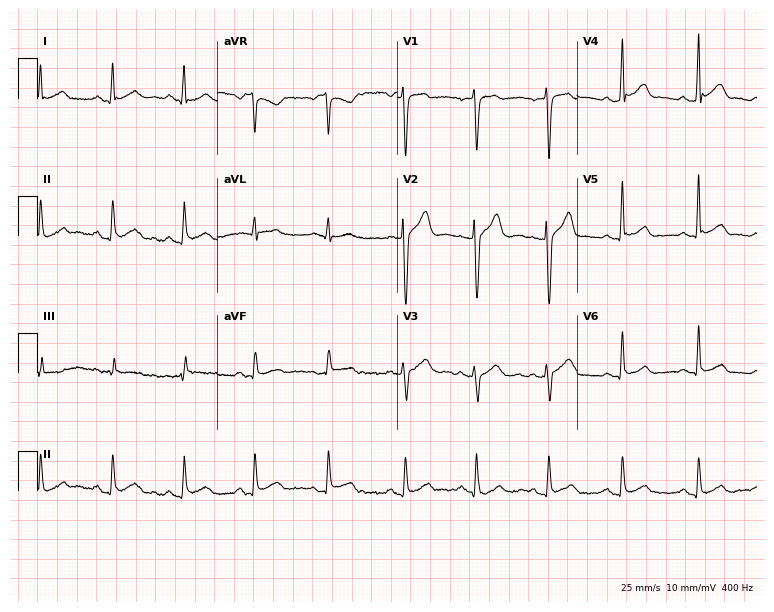
Standard 12-lead ECG recorded from a man, 30 years old. None of these six findings is recorded: first-degree AV block, right bundle branch block (RBBB), left bundle branch block (LBBB), sinus bradycardia, atrial fibrillation (AF), sinus tachycardia.